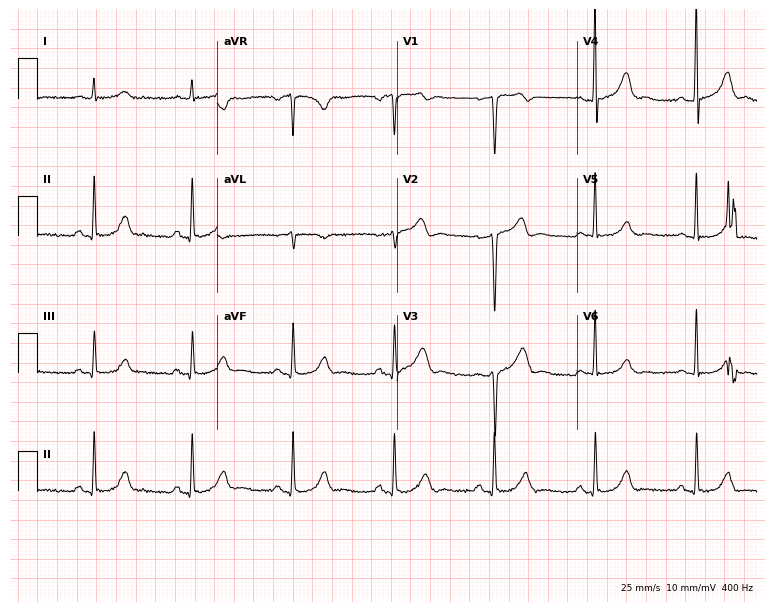
Electrocardiogram, a male patient, 59 years old. Of the six screened findings (first-degree AV block, right bundle branch block, left bundle branch block, sinus bradycardia, atrial fibrillation, sinus tachycardia), none is recorded. Other findings, if any, are not listed.